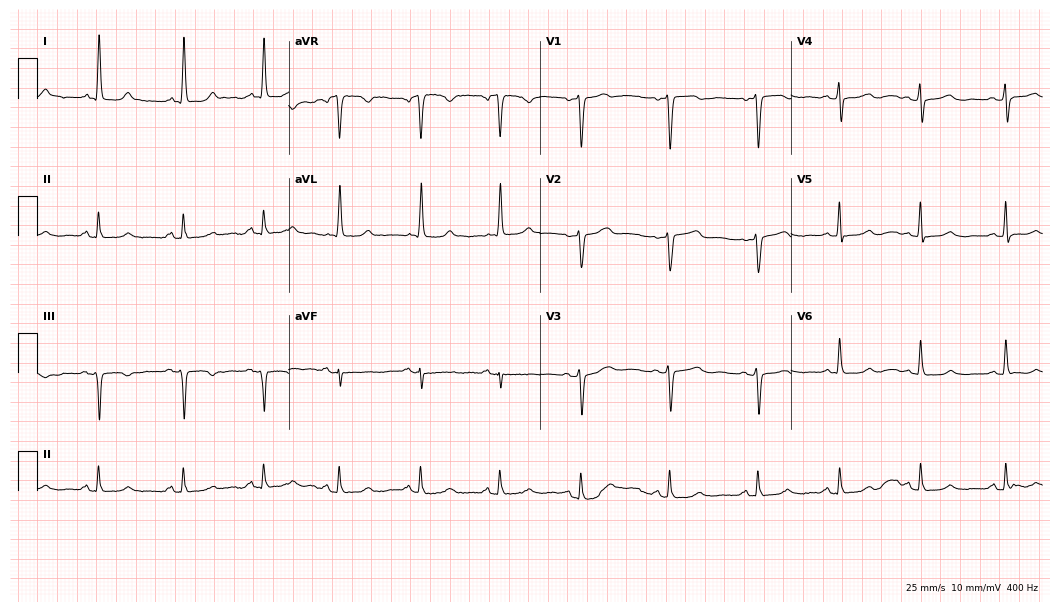
12-lead ECG (10.2-second recording at 400 Hz) from a female, 64 years old. Screened for six findings — first-degree AV block, right bundle branch block, left bundle branch block, sinus bradycardia, atrial fibrillation, sinus tachycardia — none is recorded.